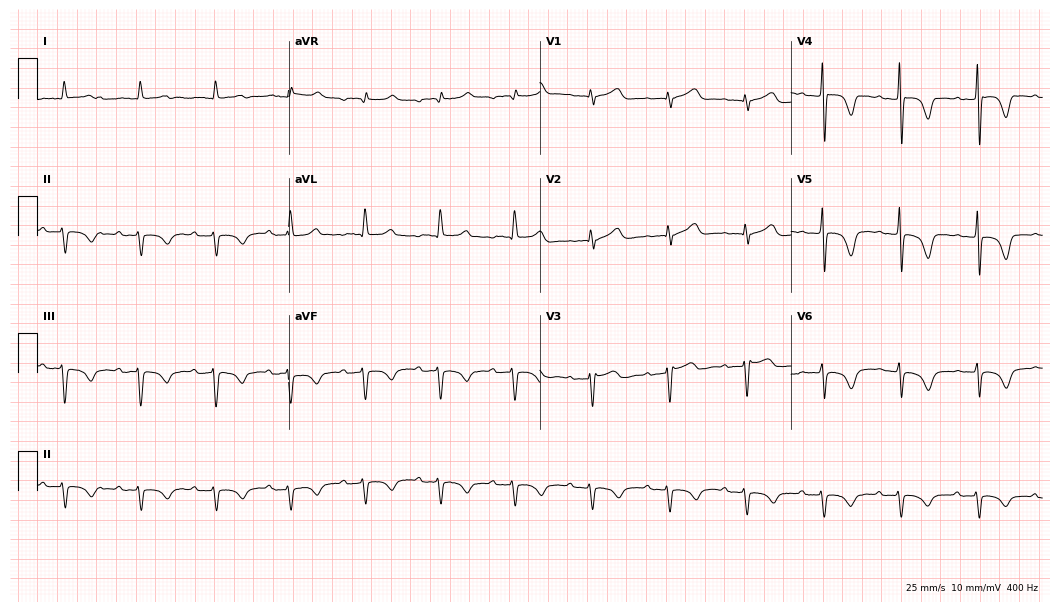
Standard 12-lead ECG recorded from an 83-year-old female patient. None of these six findings is recorded: first-degree AV block, right bundle branch block (RBBB), left bundle branch block (LBBB), sinus bradycardia, atrial fibrillation (AF), sinus tachycardia.